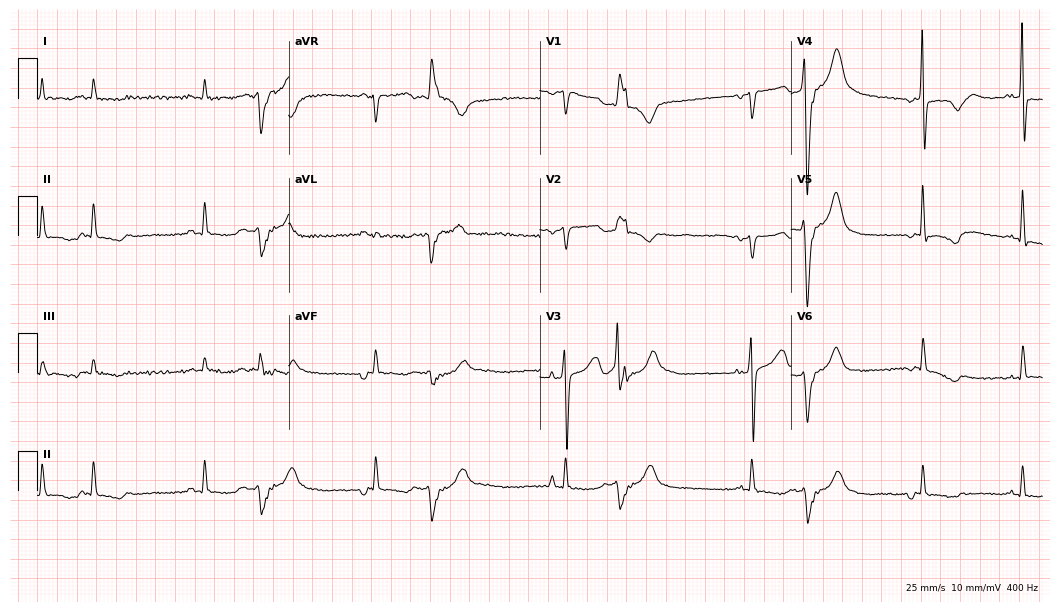
Electrocardiogram, a 74-year-old female patient. Of the six screened findings (first-degree AV block, right bundle branch block, left bundle branch block, sinus bradycardia, atrial fibrillation, sinus tachycardia), none is recorded.